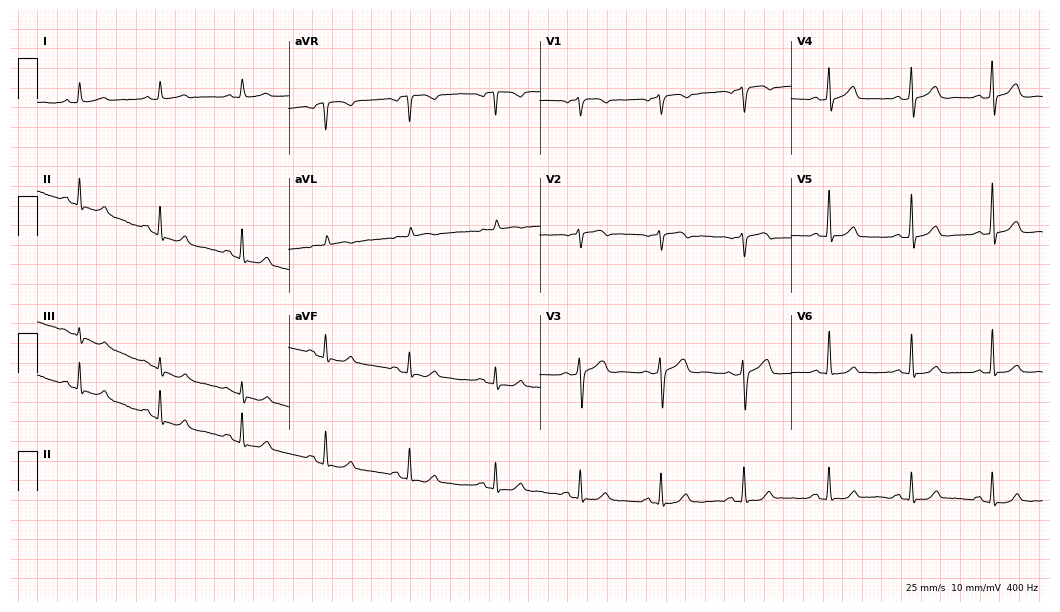
Electrocardiogram, a 70-year-old female. Overall reading on record: normal ECG.